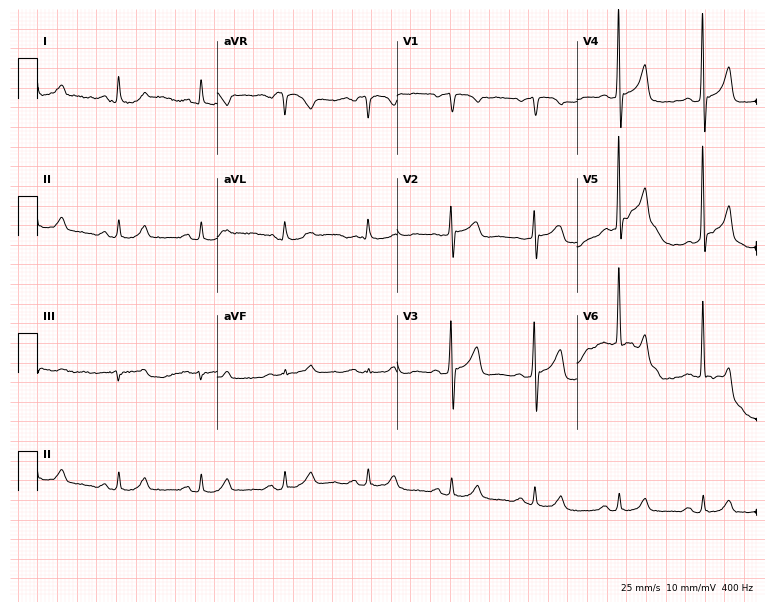
12-lead ECG from a male patient, 74 years old. Screened for six findings — first-degree AV block, right bundle branch block, left bundle branch block, sinus bradycardia, atrial fibrillation, sinus tachycardia — none is recorded. Other findings, if any, are not listed.